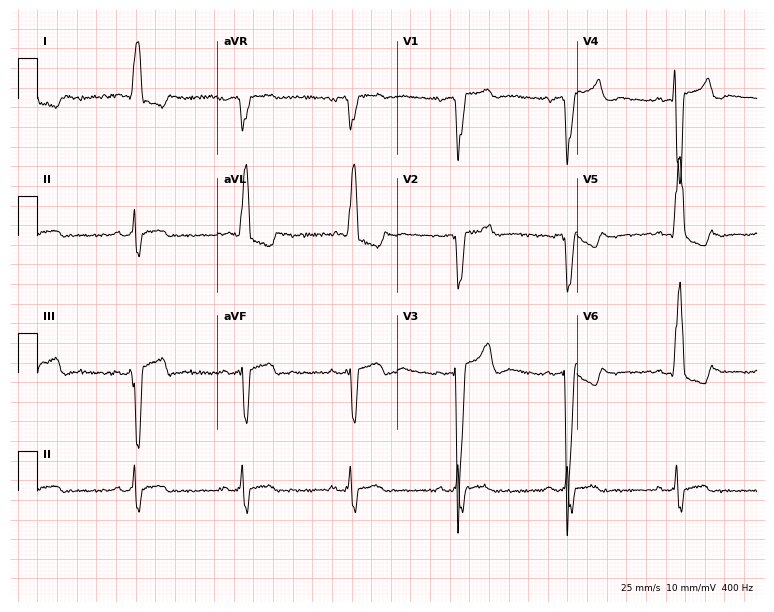
Standard 12-lead ECG recorded from a 63-year-old female patient. The tracing shows left bundle branch block.